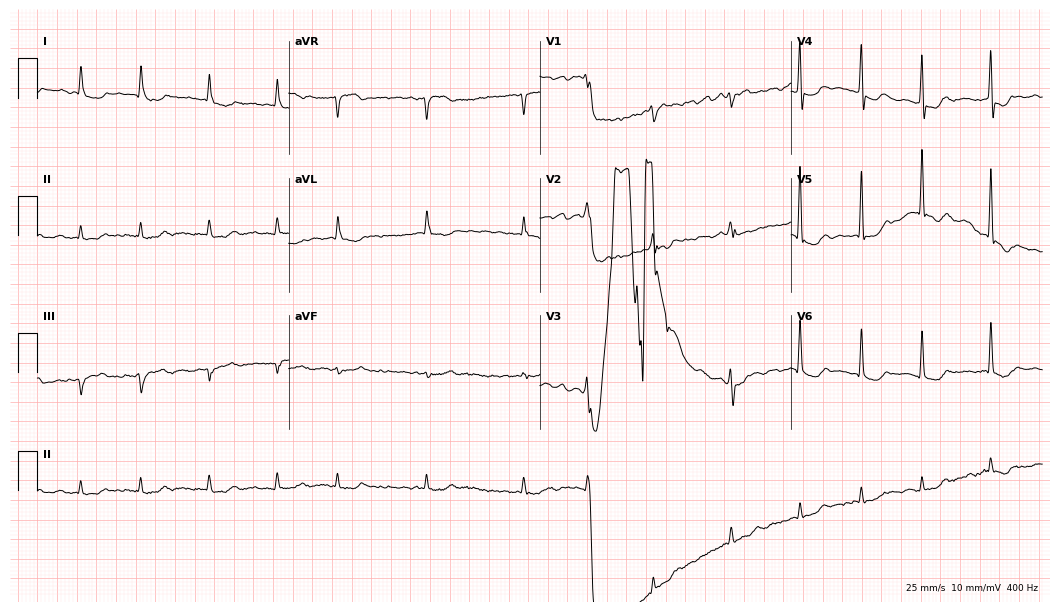
Standard 12-lead ECG recorded from a female, 85 years old (10.2-second recording at 400 Hz). None of these six findings is recorded: first-degree AV block, right bundle branch block, left bundle branch block, sinus bradycardia, atrial fibrillation, sinus tachycardia.